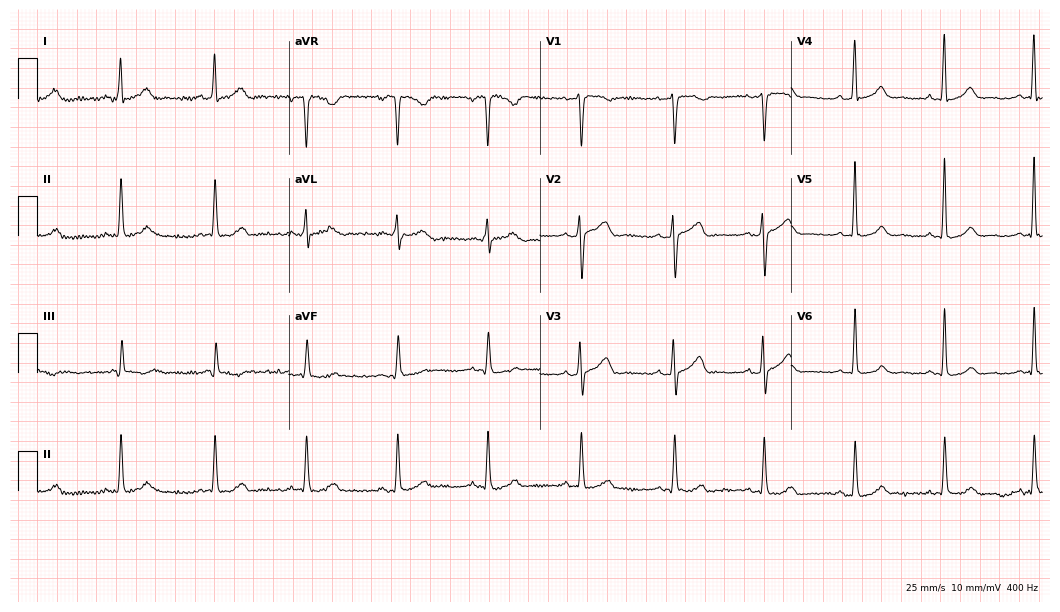
12-lead ECG (10.2-second recording at 400 Hz) from a man, 33 years old. Labelled as a normal ECG.